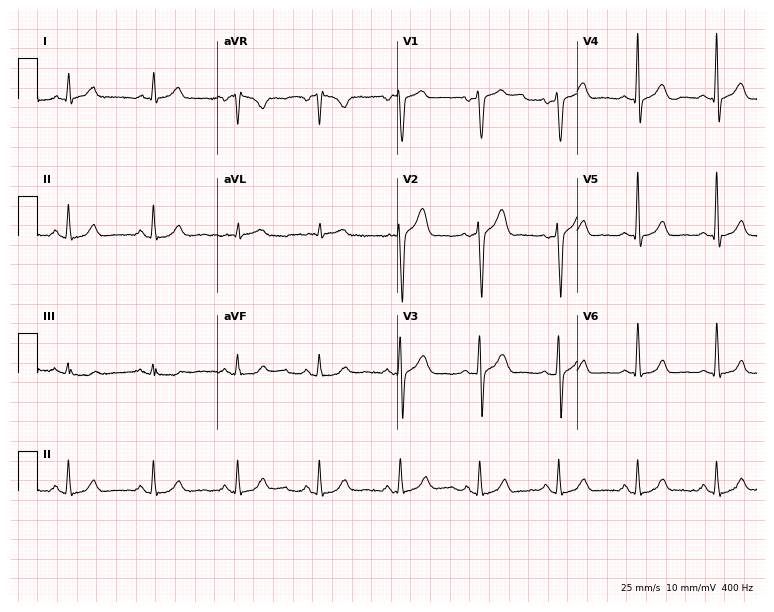
Resting 12-lead electrocardiogram. Patient: a male, 54 years old. None of these six findings is recorded: first-degree AV block, right bundle branch block, left bundle branch block, sinus bradycardia, atrial fibrillation, sinus tachycardia.